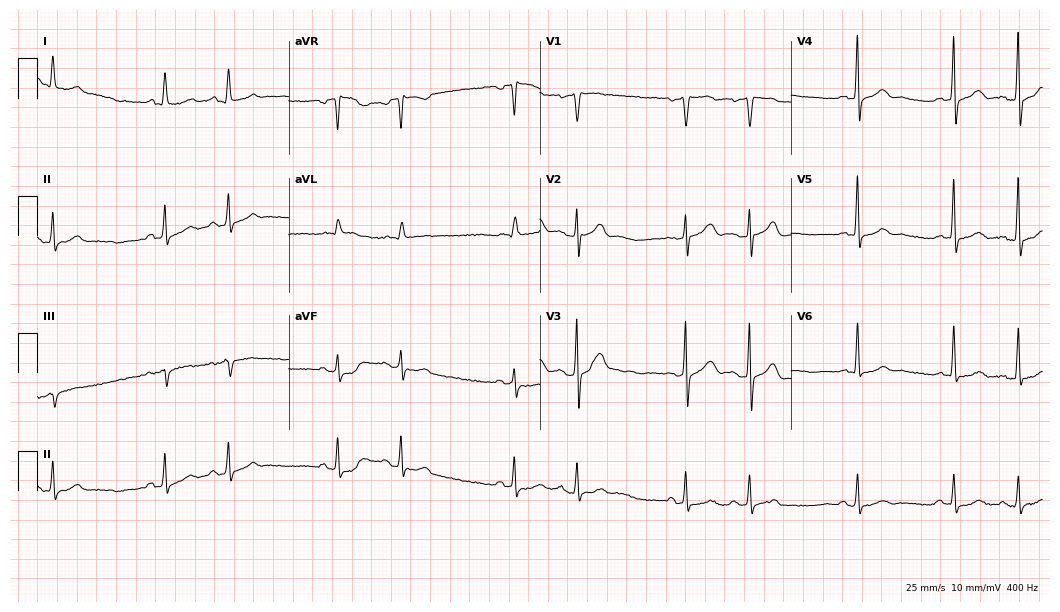
ECG — a 74-year-old man. Screened for six findings — first-degree AV block, right bundle branch block (RBBB), left bundle branch block (LBBB), sinus bradycardia, atrial fibrillation (AF), sinus tachycardia — none is recorded.